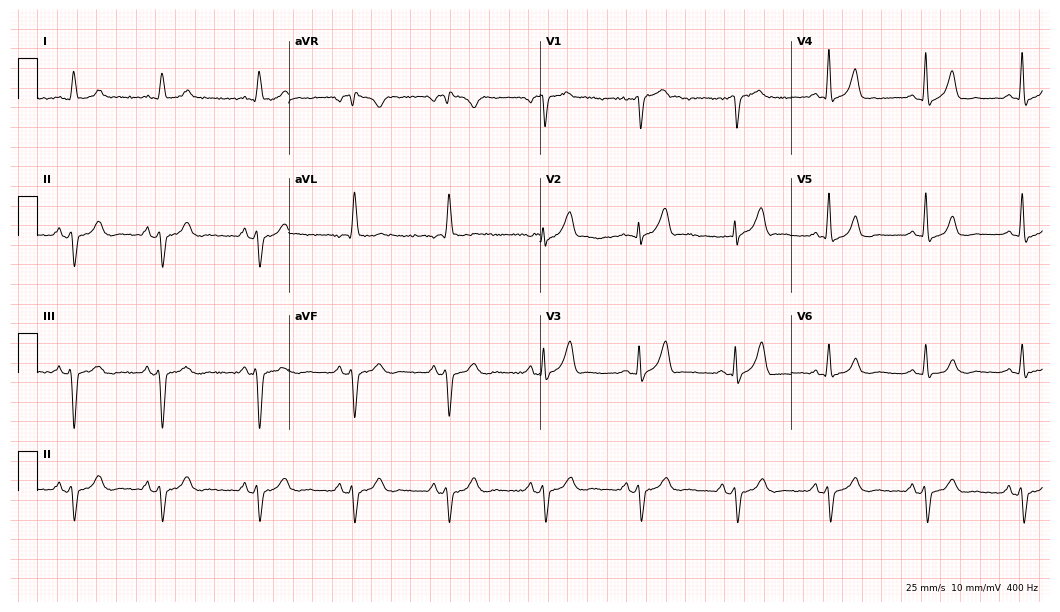
ECG — a 74-year-old male patient. Screened for six findings — first-degree AV block, right bundle branch block, left bundle branch block, sinus bradycardia, atrial fibrillation, sinus tachycardia — none is recorded.